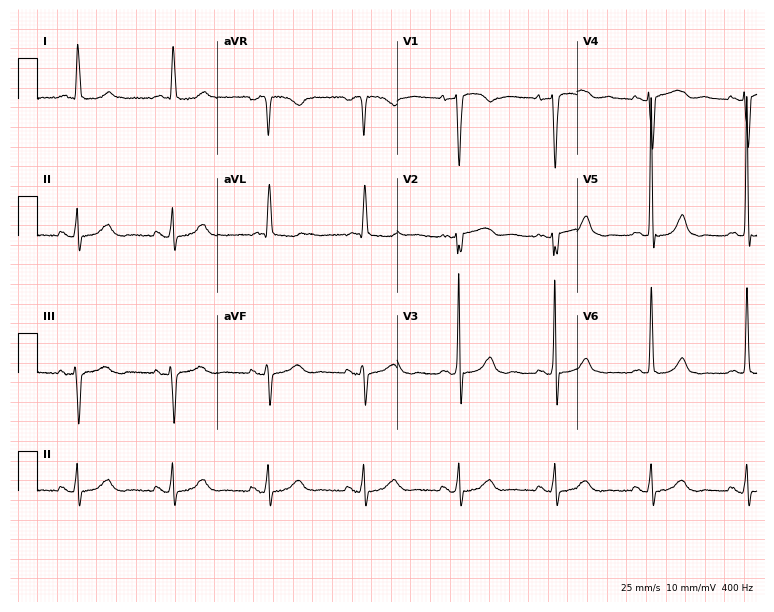
Resting 12-lead electrocardiogram. Patient: a female, 83 years old. None of these six findings is recorded: first-degree AV block, right bundle branch block, left bundle branch block, sinus bradycardia, atrial fibrillation, sinus tachycardia. Only these six findings were labelled.